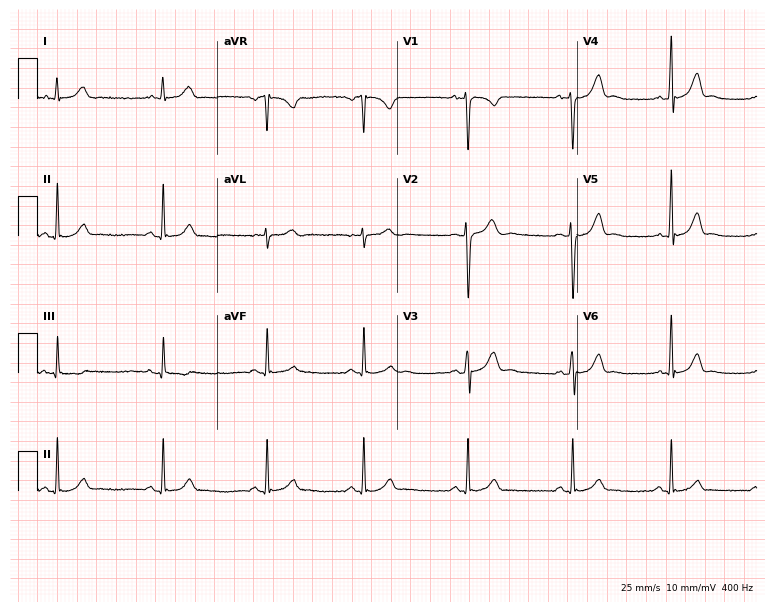
12-lead ECG (7.3-second recording at 400 Hz) from a man, 31 years old. Labelled as a normal ECG.